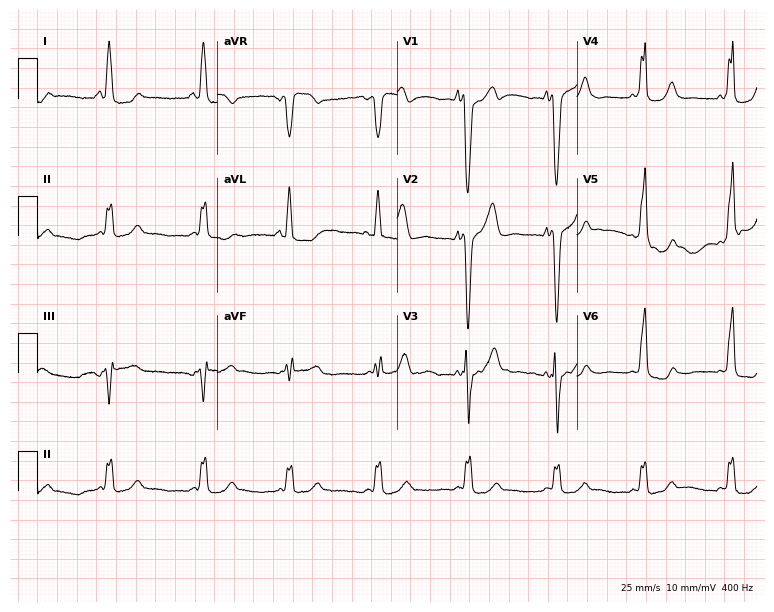
ECG — a 47-year-old woman. Screened for six findings — first-degree AV block, right bundle branch block, left bundle branch block, sinus bradycardia, atrial fibrillation, sinus tachycardia — none is recorded. Other findings, if any, are not listed.